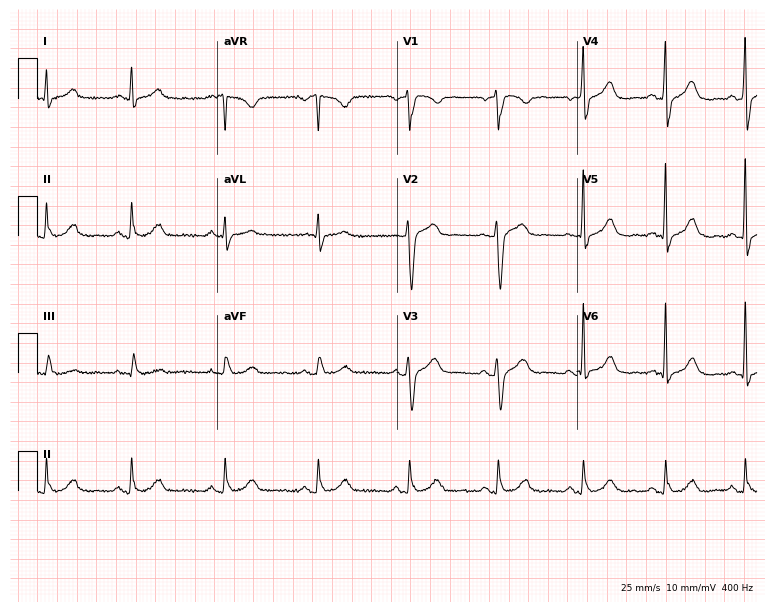
ECG (7.3-second recording at 400 Hz) — a 50-year-old man. Screened for six findings — first-degree AV block, right bundle branch block, left bundle branch block, sinus bradycardia, atrial fibrillation, sinus tachycardia — none is recorded.